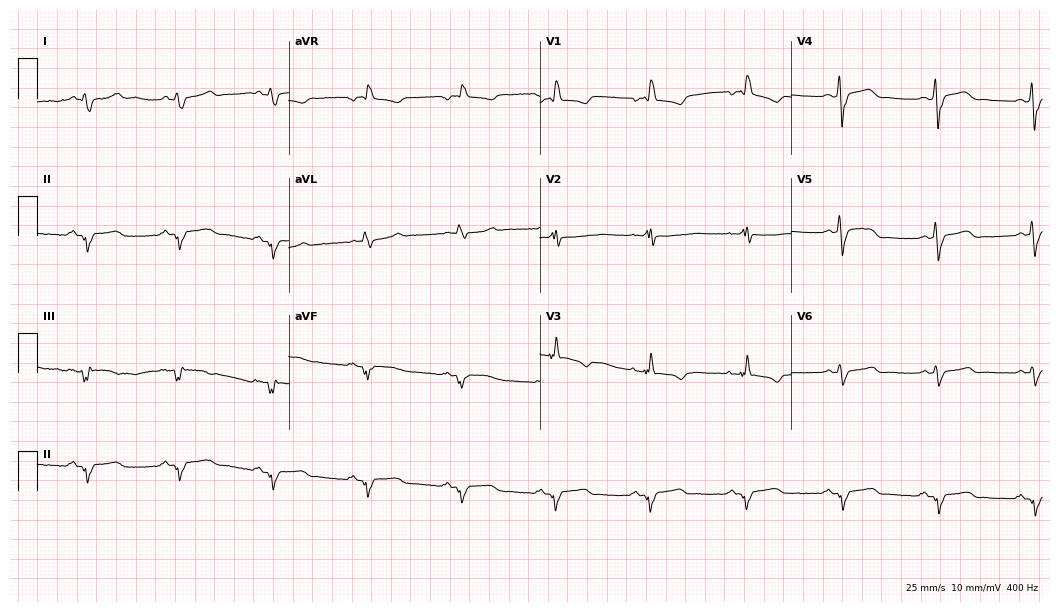
12-lead ECG from a female, 43 years old. Findings include right bundle branch block (RBBB).